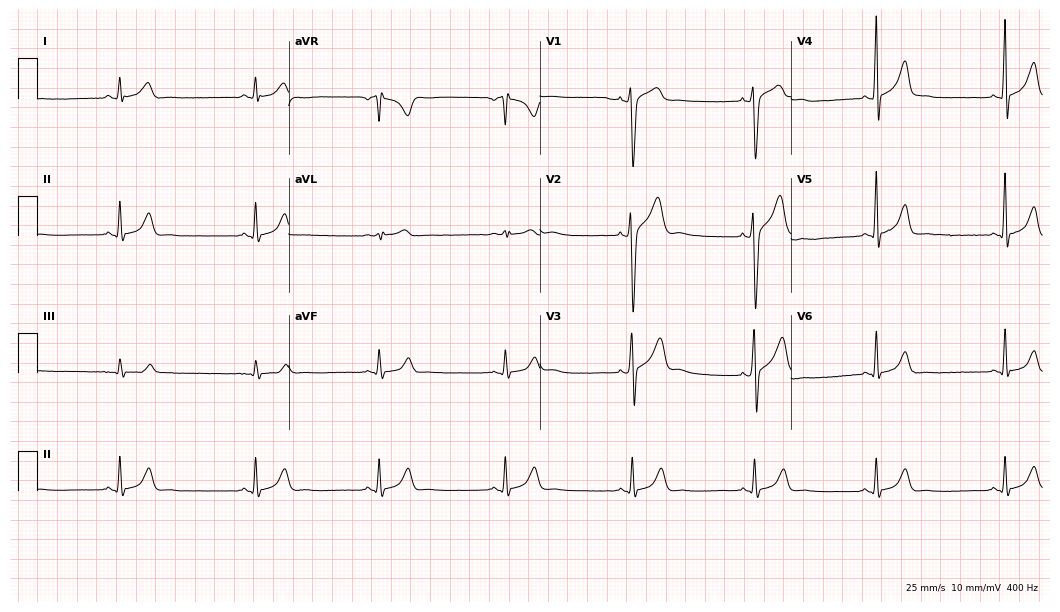
12-lead ECG from a 20-year-old male patient. Findings include sinus bradycardia (a sinus rate of 50 beats per minute or less).